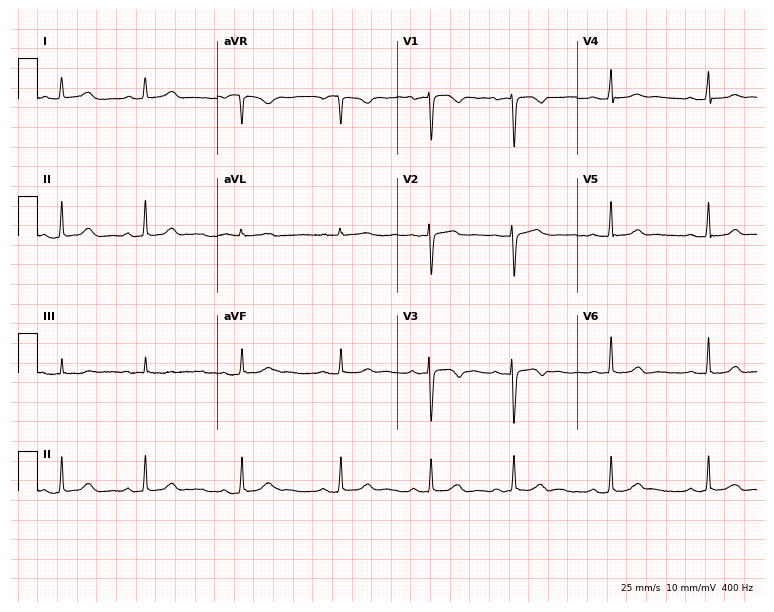
Electrocardiogram (7.3-second recording at 400 Hz), a female patient, 23 years old. Overall reading on record: normal ECG.